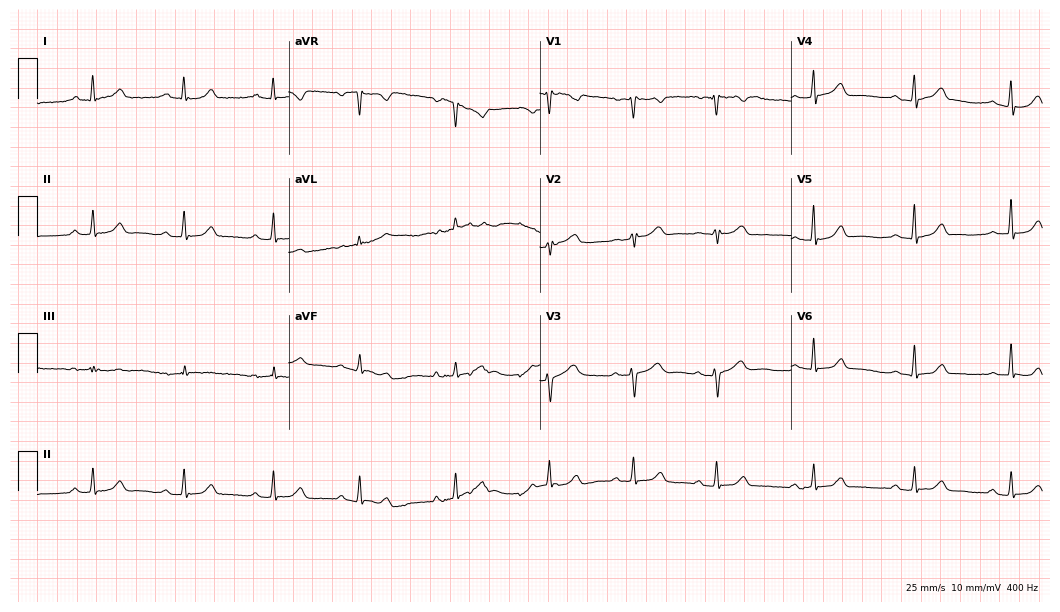
Electrocardiogram, a female patient, 55 years old. Of the six screened findings (first-degree AV block, right bundle branch block (RBBB), left bundle branch block (LBBB), sinus bradycardia, atrial fibrillation (AF), sinus tachycardia), none is recorded.